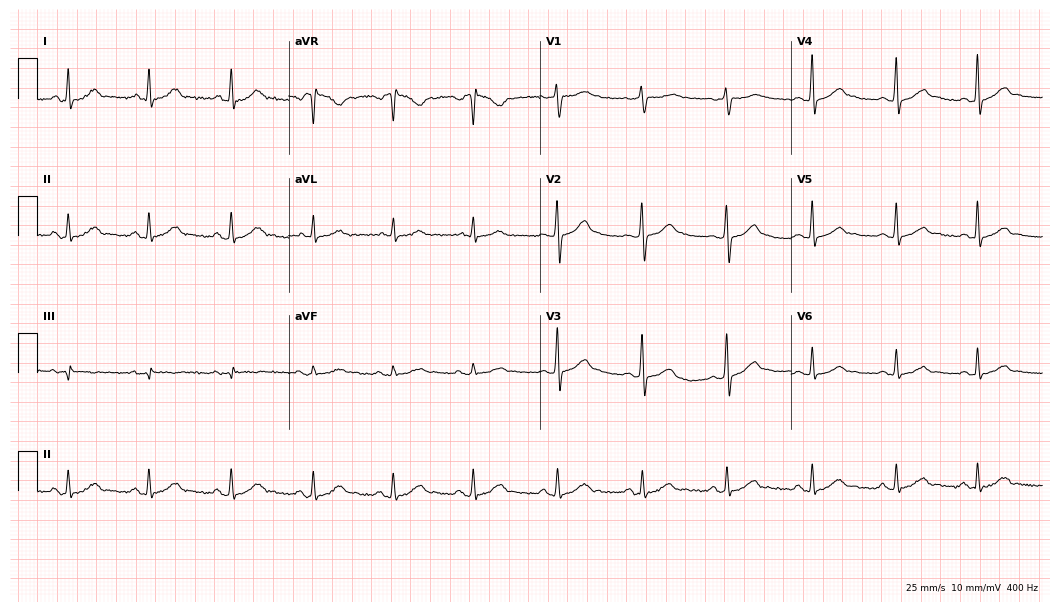
ECG (10.2-second recording at 400 Hz) — a male patient, 40 years old. Labelled as a normal ECG.